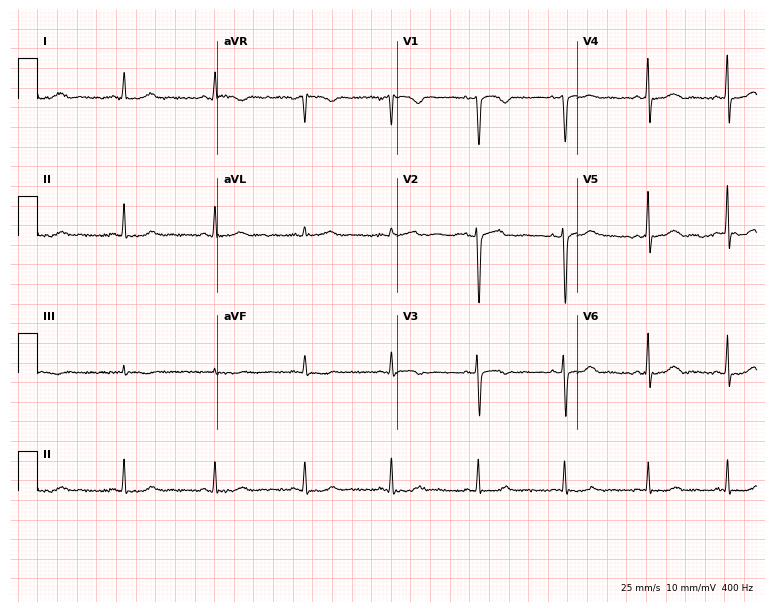
12-lead ECG (7.3-second recording at 400 Hz) from a 38-year-old female patient. Screened for six findings — first-degree AV block, right bundle branch block, left bundle branch block, sinus bradycardia, atrial fibrillation, sinus tachycardia — none is recorded.